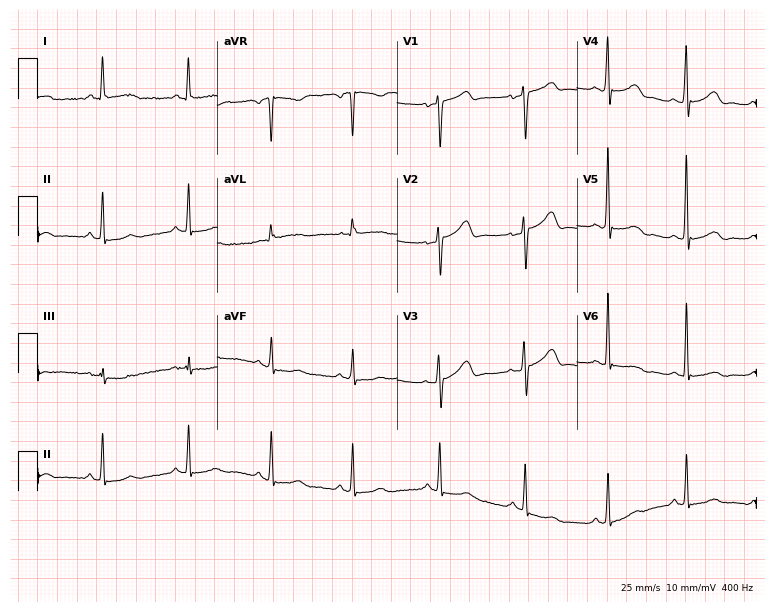
Standard 12-lead ECG recorded from a 48-year-old female (7.3-second recording at 400 Hz). None of these six findings is recorded: first-degree AV block, right bundle branch block, left bundle branch block, sinus bradycardia, atrial fibrillation, sinus tachycardia.